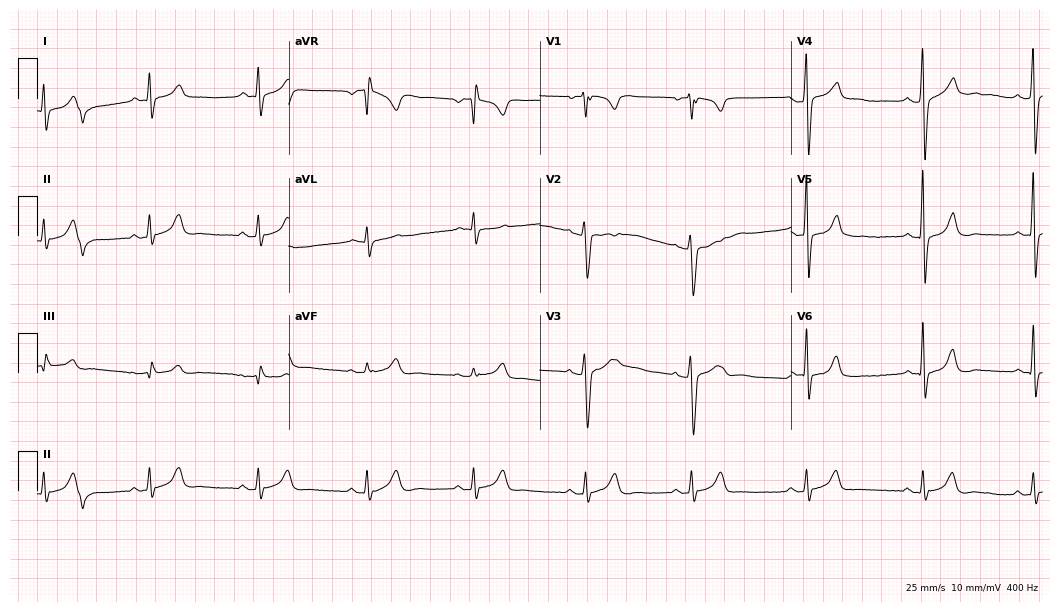
12-lead ECG from a 33-year-old male patient. Labelled as a normal ECG.